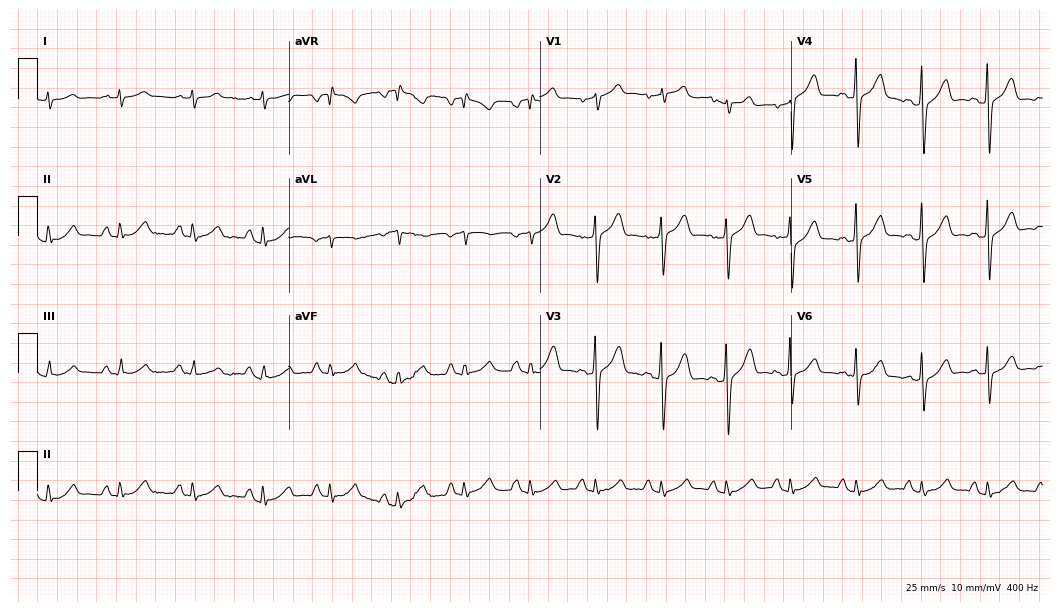
12-lead ECG from a man, 66 years old. No first-degree AV block, right bundle branch block (RBBB), left bundle branch block (LBBB), sinus bradycardia, atrial fibrillation (AF) or sinus tachycardia recorded for this tracing.